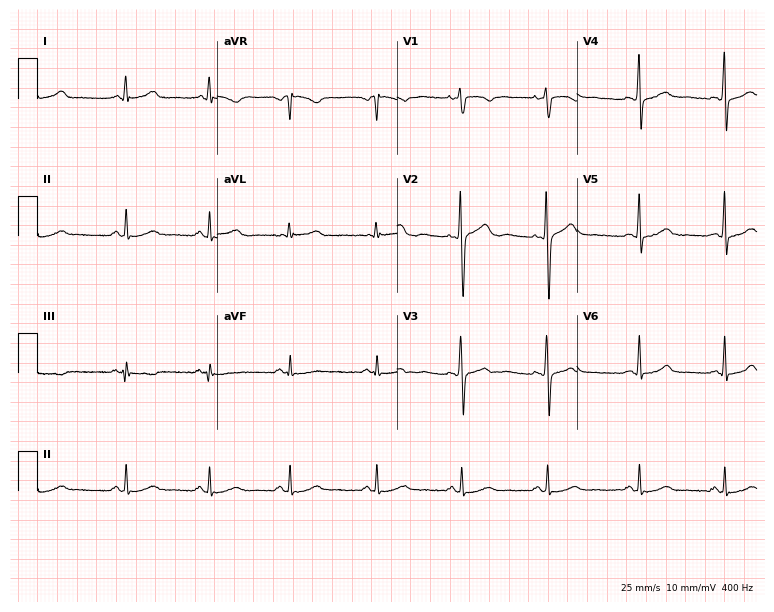
Resting 12-lead electrocardiogram. Patient: a woman, 37 years old. Read as a normal ECG.